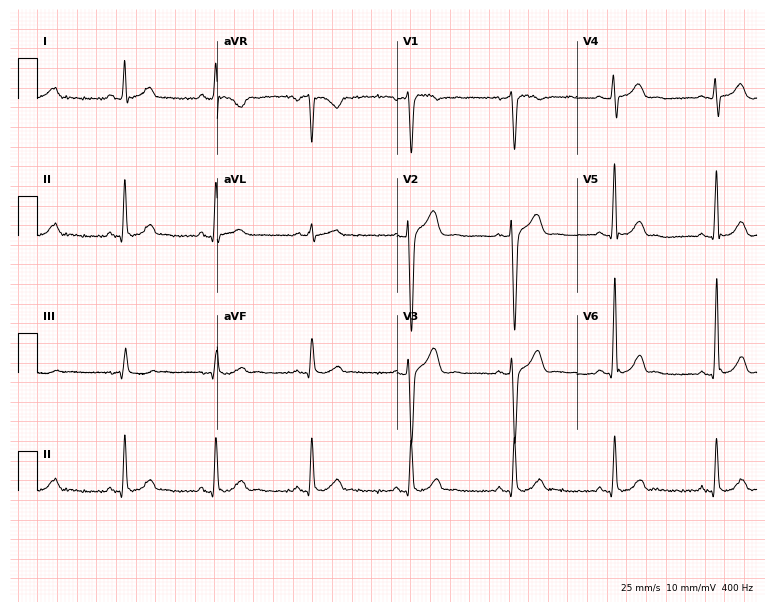
12-lead ECG from a male, 33 years old. Labelled as a normal ECG.